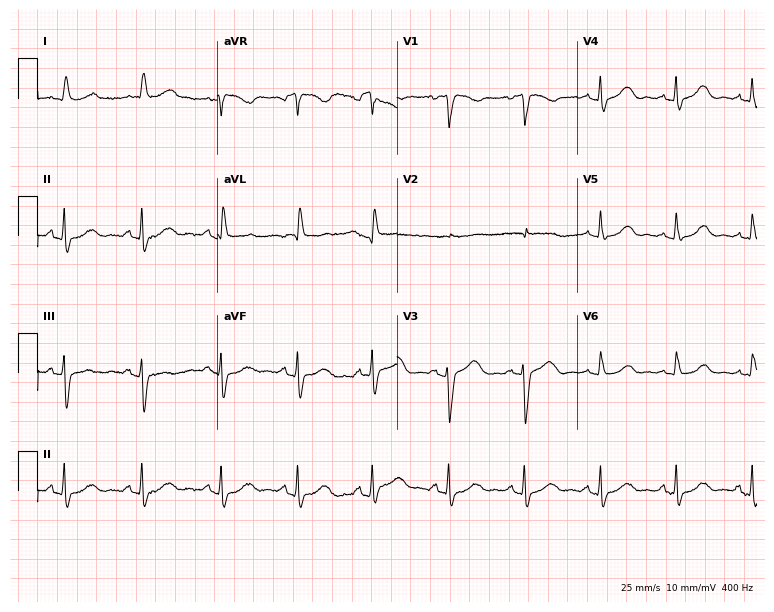
Resting 12-lead electrocardiogram. Patient: an 82-year-old female. None of these six findings is recorded: first-degree AV block, right bundle branch block, left bundle branch block, sinus bradycardia, atrial fibrillation, sinus tachycardia. Only these six findings were labelled.